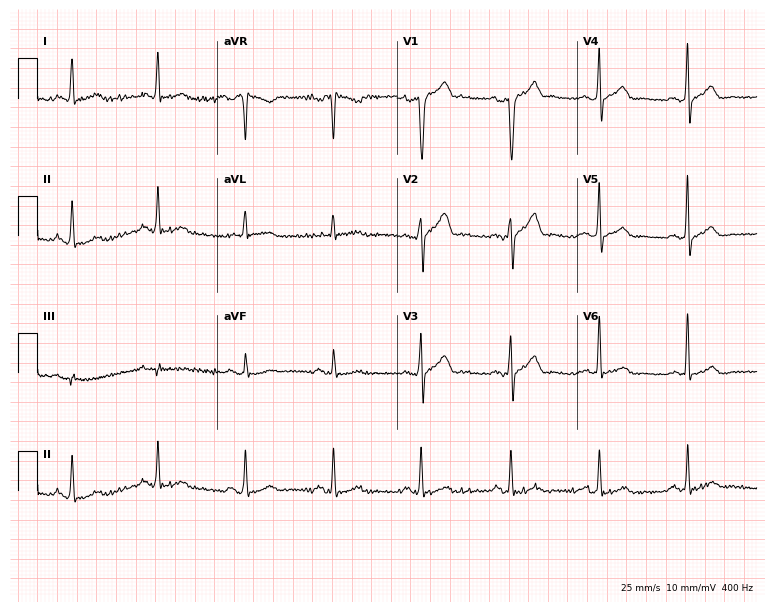
ECG — a 67-year-old male patient. Labelled as a normal ECG.